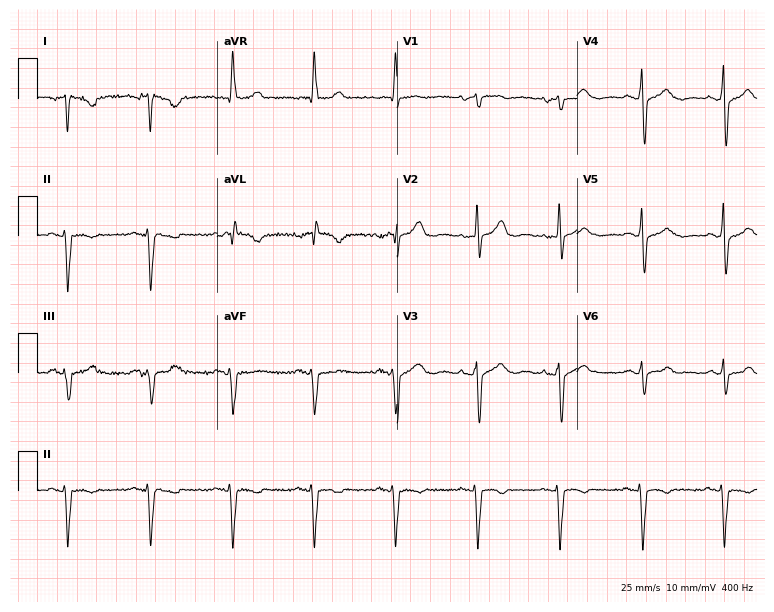
Electrocardiogram, a male patient, 77 years old. Of the six screened findings (first-degree AV block, right bundle branch block, left bundle branch block, sinus bradycardia, atrial fibrillation, sinus tachycardia), none is recorded.